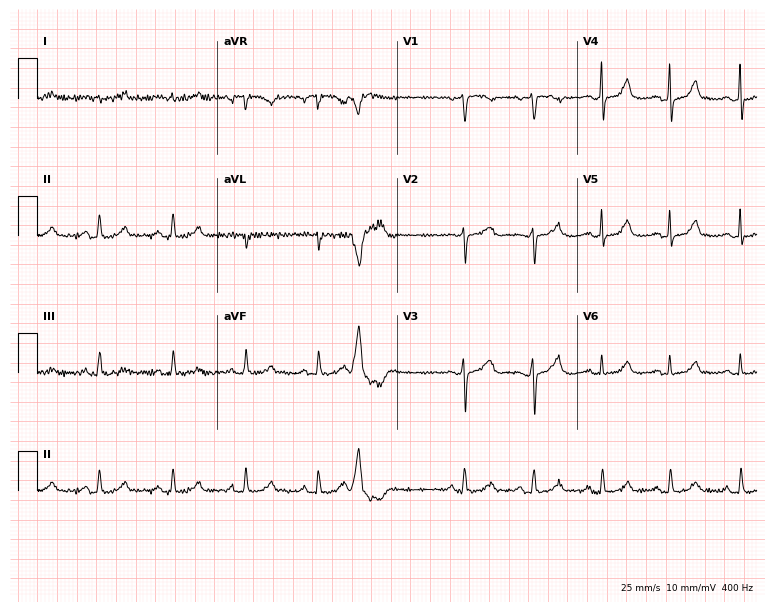
12-lead ECG from a 47-year-old female. Screened for six findings — first-degree AV block, right bundle branch block, left bundle branch block, sinus bradycardia, atrial fibrillation, sinus tachycardia — none is recorded.